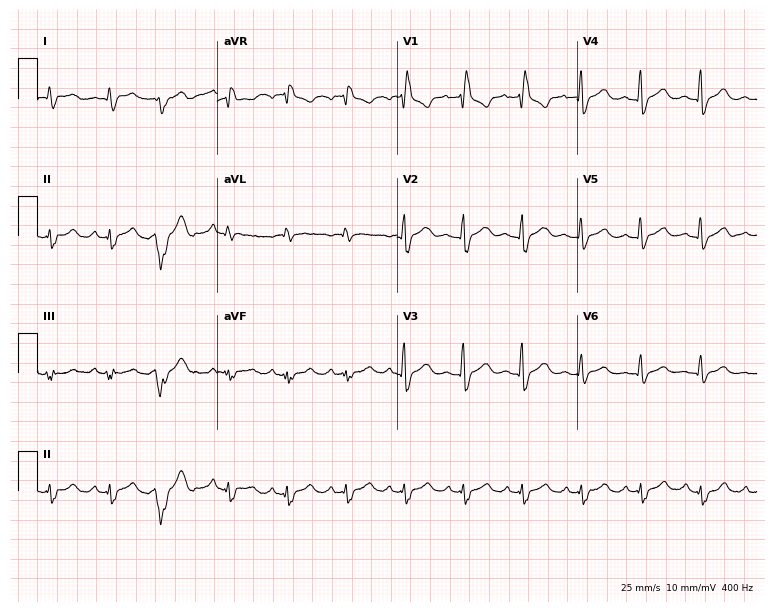
ECG (7.3-second recording at 400 Hz) — a man, 58 years old. Screened for six findings — first-degree AV block, right bundle branch block, left bundle branch block, sinus bradycardia, atrial fibrillation, sinus tachycardia — none is recorded. Findings outside these six are not listed.